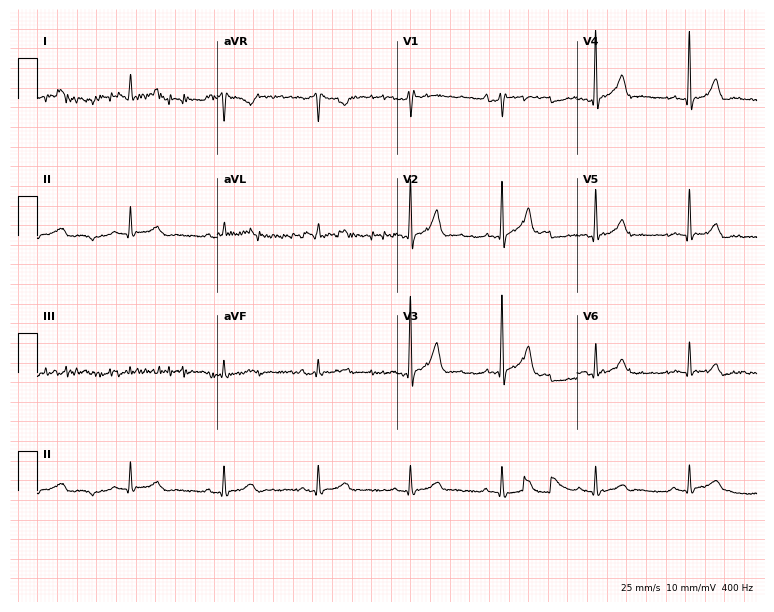
Standard 12-lead ECG recorded from a male, 81 years old (7.3-second recording at 400 Hz). None of these six findings is recorded: first-degree AV block, right bundle branch block, left bundle branch block, sinus bradycardia, atrial fibrillation, sinus tachycardia.